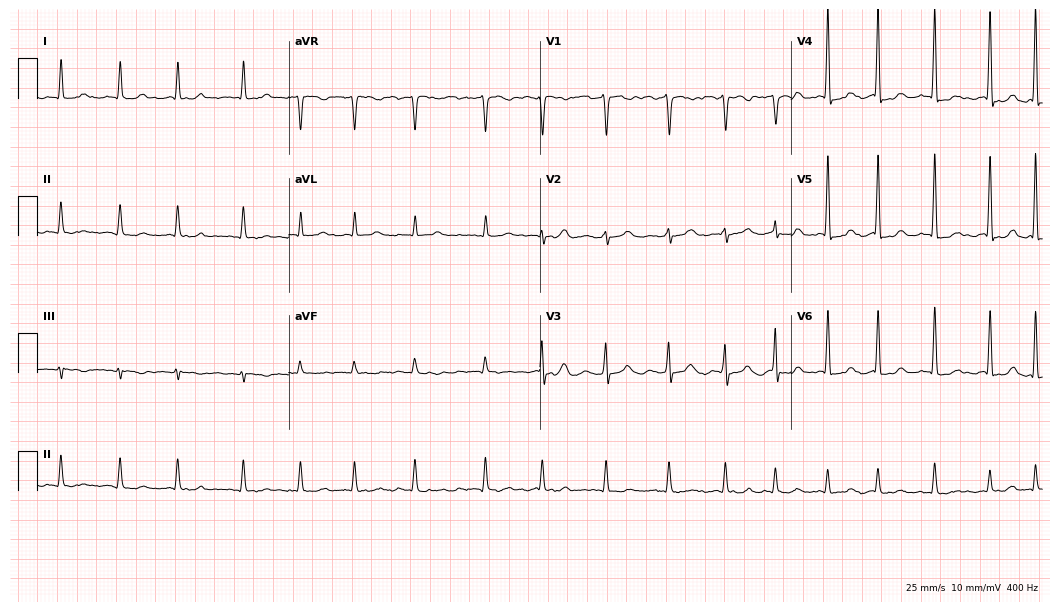
Resting 12-lead electrocardiogram (10.2-second recording at 400 Hz). Patient: a 62-year-old female. The tracing shows atrial fibrillation.